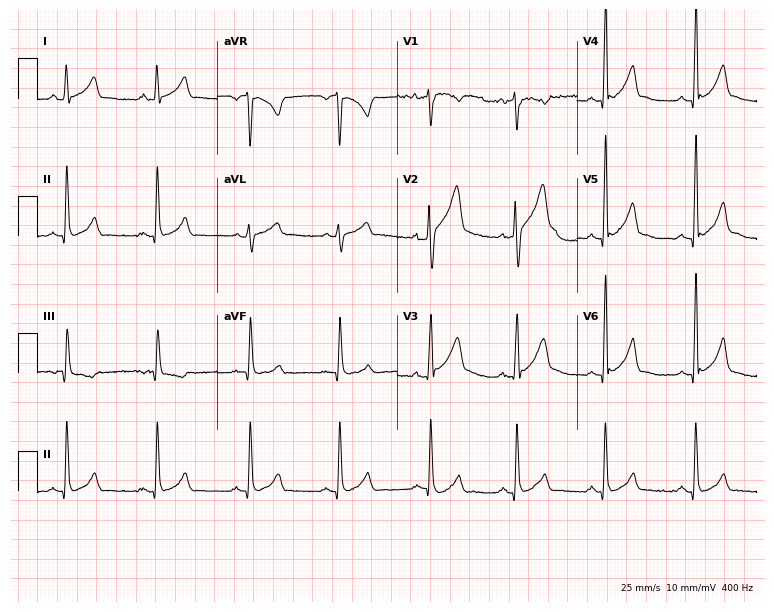
Standard 12-lead ECG recorded from a 39-year-old male. None of these six findings is recorded: first-degree AV block, right bundle branch block, left bundle branch block, sinus bradycardia, atrial fibrillation, sinus tachycardia.